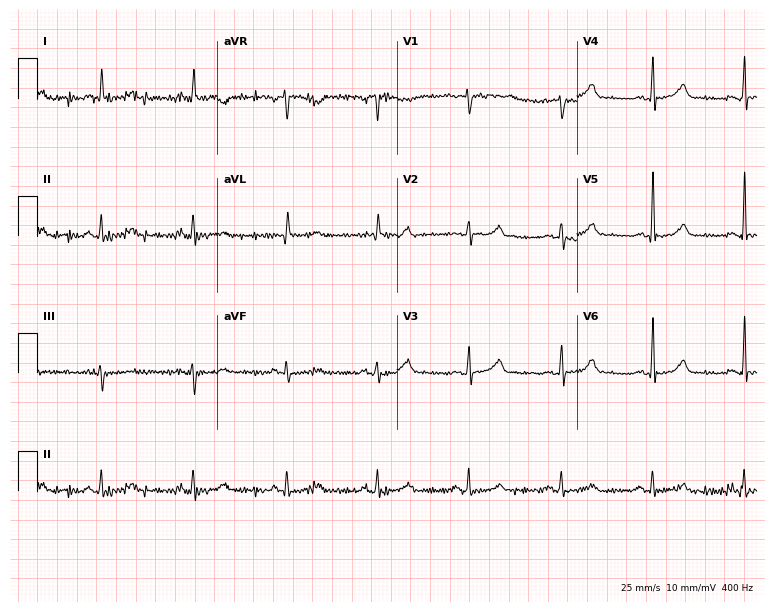
Resting 12-lead electrocardiogram (7.3-second recording at 400 Hz). Patient: a 74-year-old woman. None of these six findings is recorded: first-degree AV block, right bundle branch block (RBBB), left bundle branch block (LBBB), sinus bradycardia, atrial fibrillation (AF), sinus tachycardia.